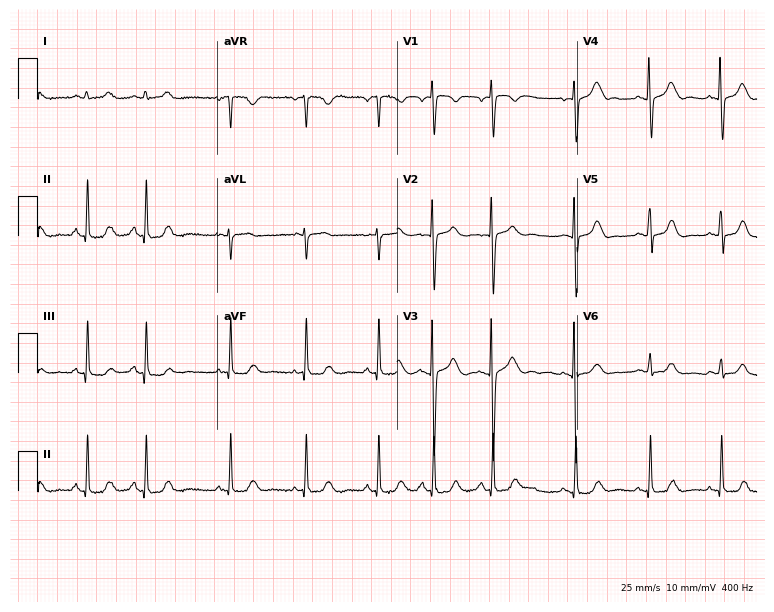
12-lead ECG from a 32-year-old female patient. Labelled as a normal ECG.